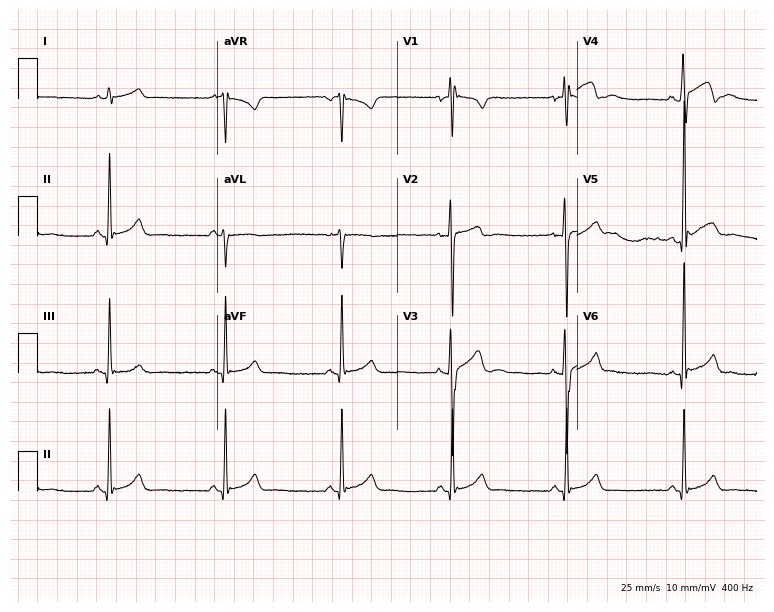
12-lead ECG from a man, 18 years old. No first-degree AV block, right bundle branch block, left bundle branch block, sinus bradycardia, atrial fibrillation or sinus tachycardia recorded for this tracing. Only these six findings were labelled.